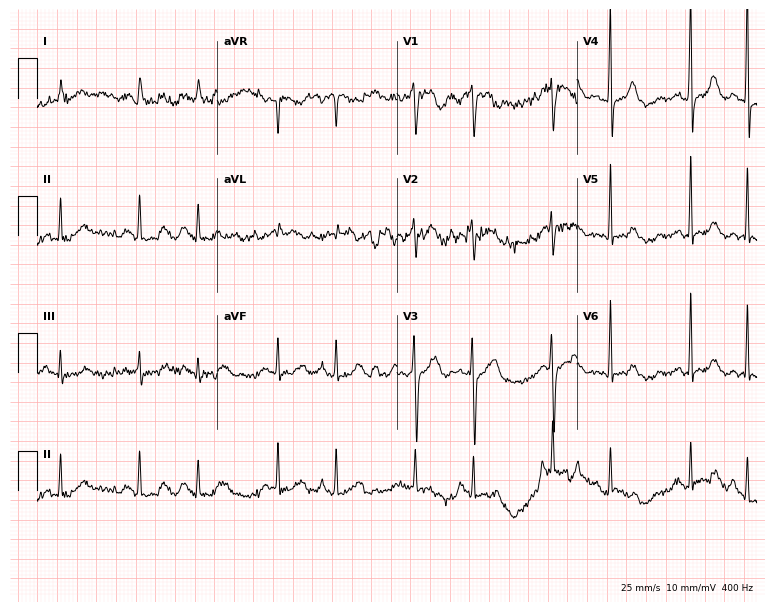
Standard 12-lead ECG recorded from an 80-year-old woman. None of these six findings is recorded: first-degree AV block, right bundle branch block, left bundle branch block, sinus bradycardia, atrial fibrillation, sinus tachycardia.